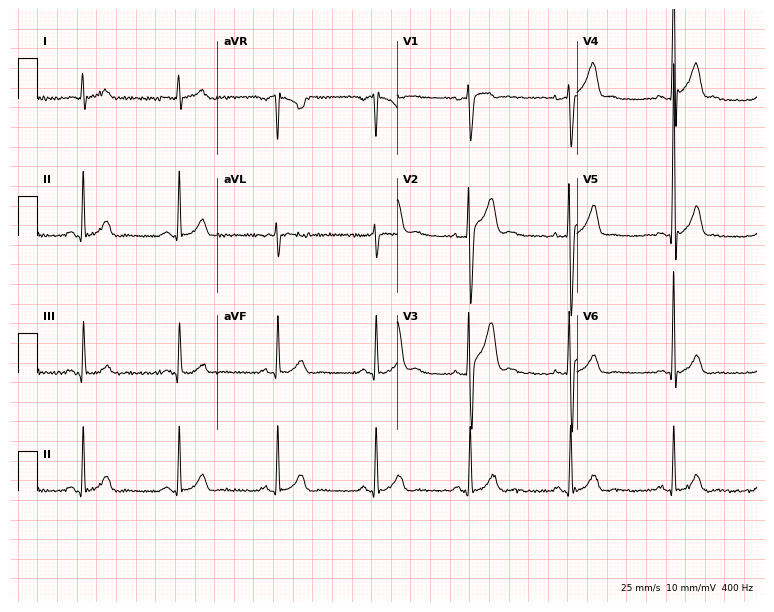
12-lead ECG from a 22-year-old man. Recorded interpretation: within normal limits.